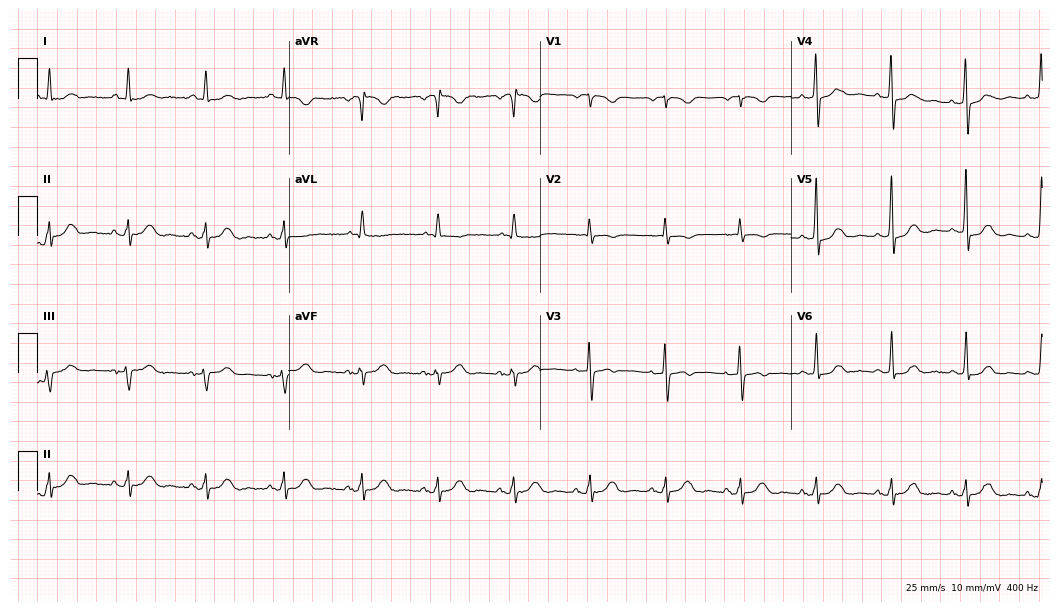
Standard 12-lead ECG recorded from a 74-year-old female patient. Read as a normal ECG.